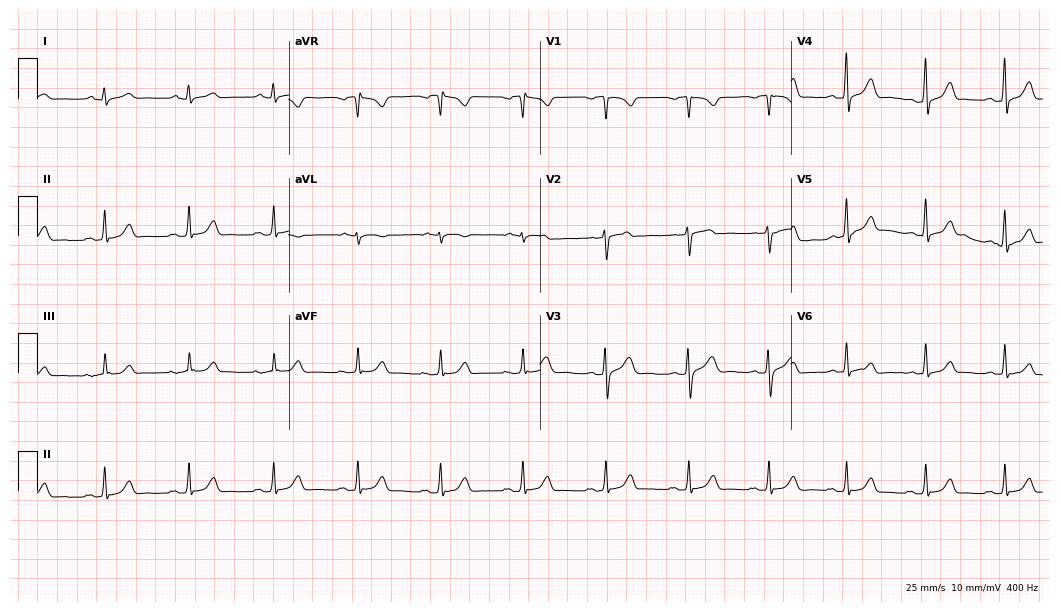
Resting 12-lead electrocardiogram. Patient: a 55-year-old male. Read as a normal ECG.